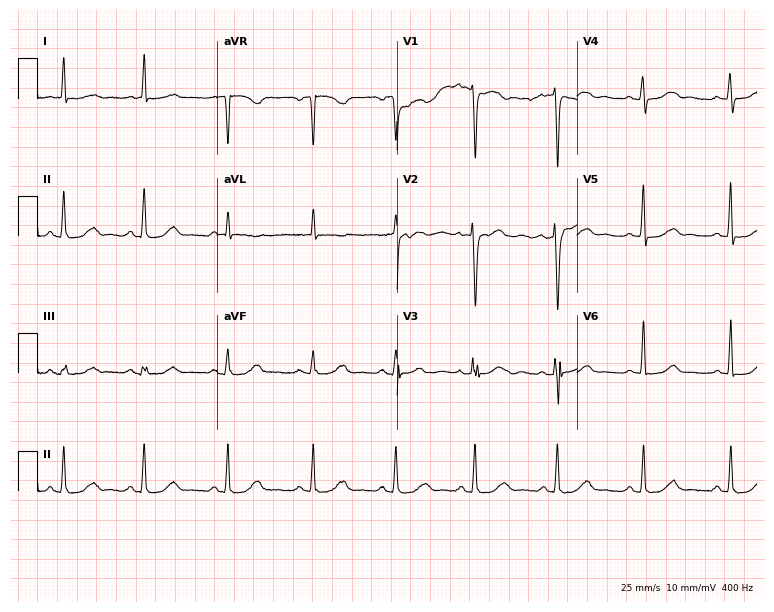
ECG (7.3-second recording at 400 Hz) — a female, 53 years old. Labelled as a normal ECG.